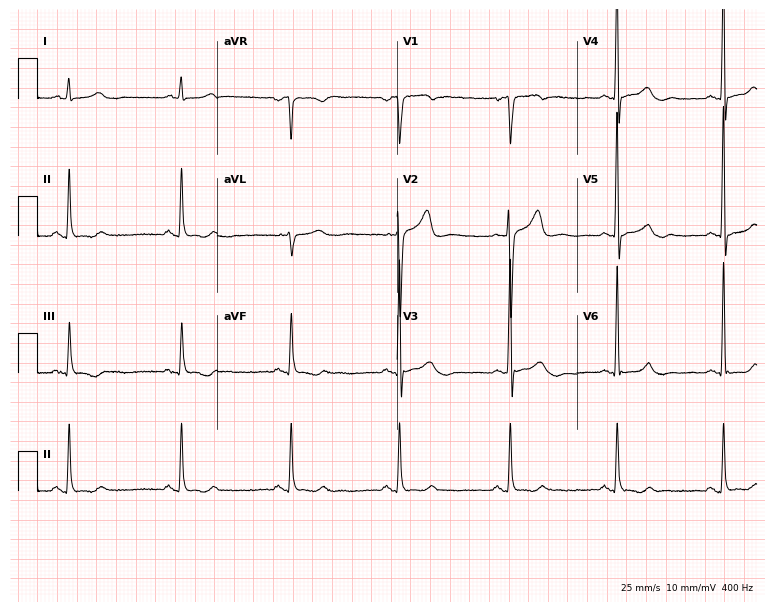
12-lead ECG from a 51-year-old male (7.3-second recording at 400 Hz). Recorded interpretation: within normal limits.